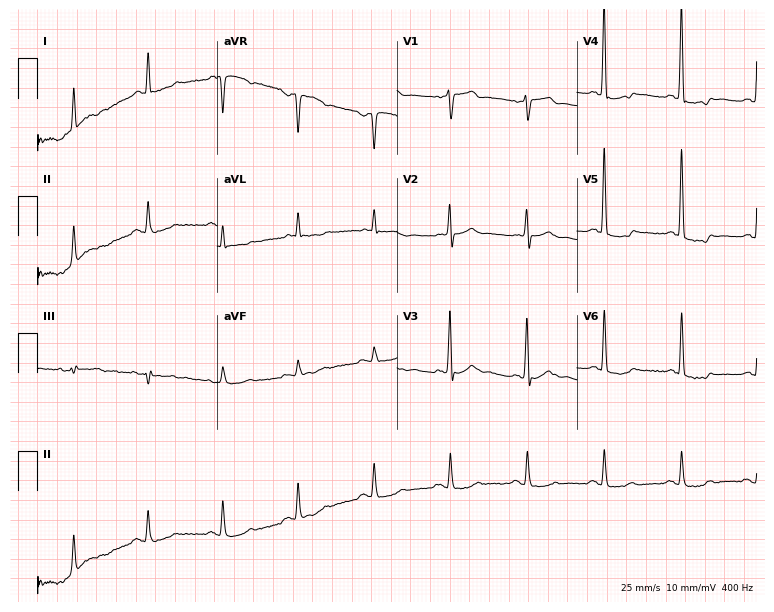
12-lead ECG (7.3-second recording at 400 Hz) from an 84-year-old male patient. Screened for six findings — first-degree AV block, right bundle branch block, left bundle branch block, sinus bradycardia, atrial fibrillation, sinus tachycardia — none is recorded. Other findings, if any, are not listed.